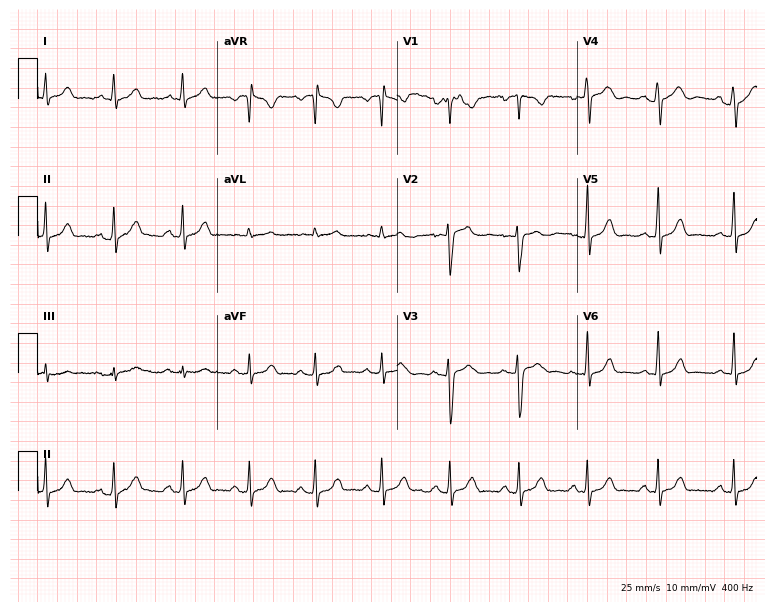
Resting 12-lead electrocardiogram (7.3-second recording at 400 Hz). Patient: a female, 24 years old. None of these six findings is recorded: first-degree AV block, right bundle branch block (RBBB), left bundle branch block (LBBB), sinus bradycardia, atrial fibrillation (AF), sinus tachycardia.